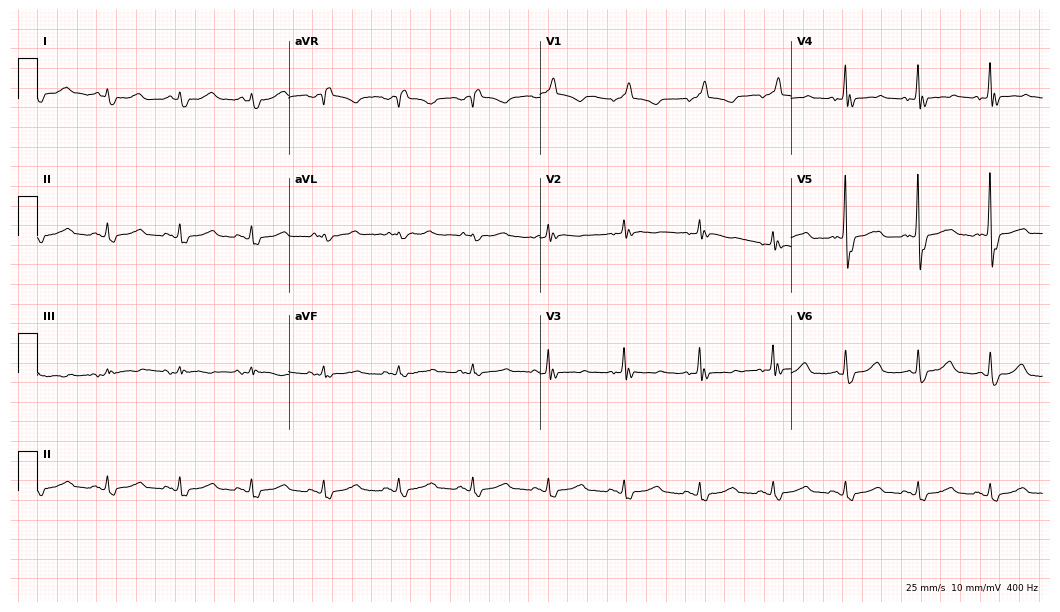
Electrocardiogram, a 67-year-old woman. Interpretation includes right bundle branch block.